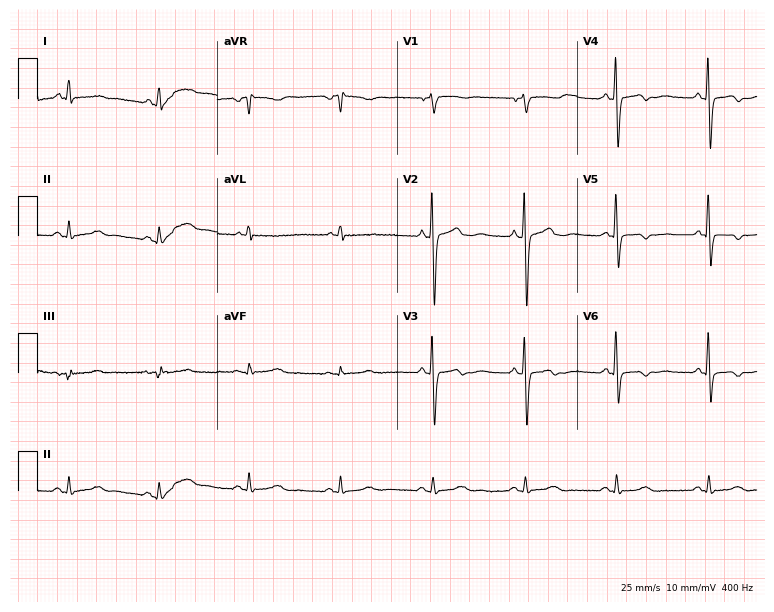
ECG (7.3-second recording at 400 Hz) — a 75-year-old male patient. Screened for six findings — first-degree AV block, right bundle branch block, left bundle branch block, sinus bradycardia, atrial fibrillation, sinus tachycardia — none is recorded.